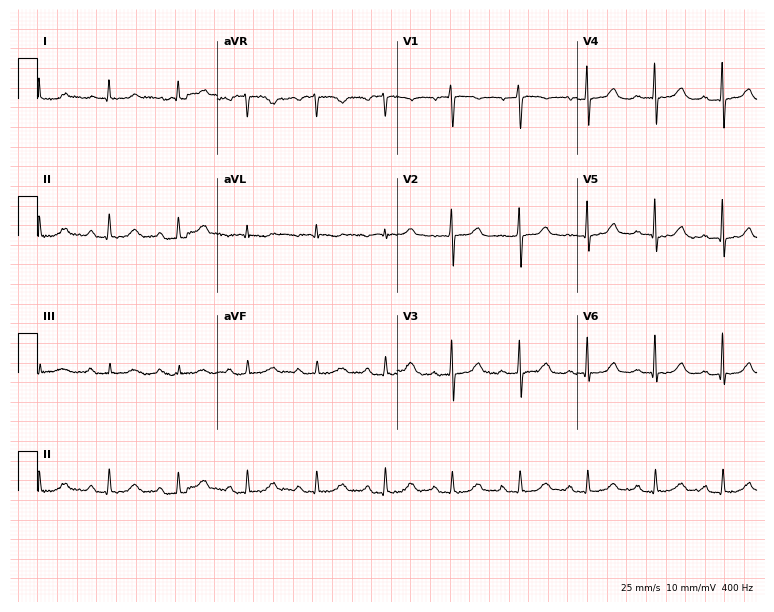
12-lead ECG from a 77-year-old female patient. Recorded interpretation: within normal limits.